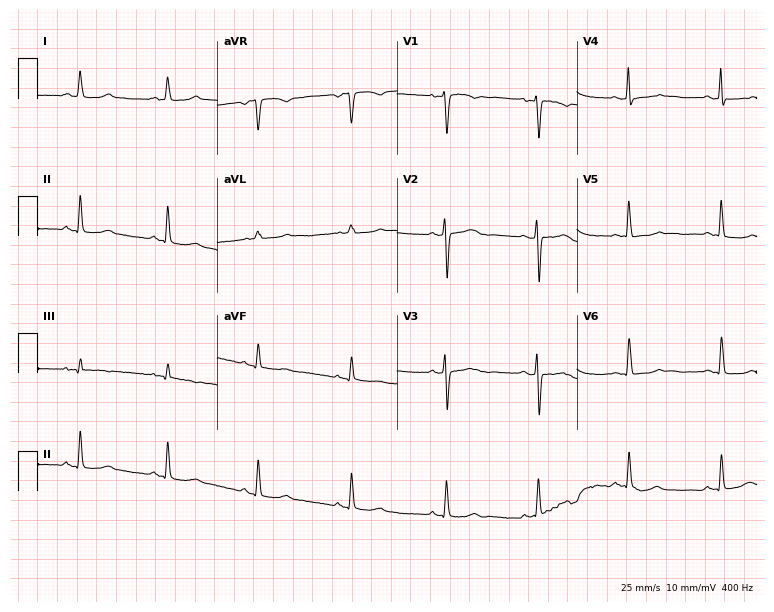
ECG — a 47-year-old woman. Screened for six findings — first-degree AV block, right bundle branch block (RBBB), left bundle branch block (LBBB), sinus bradycardia, atrial fibrillation (AF), sinus tachycardia — none is recorded.